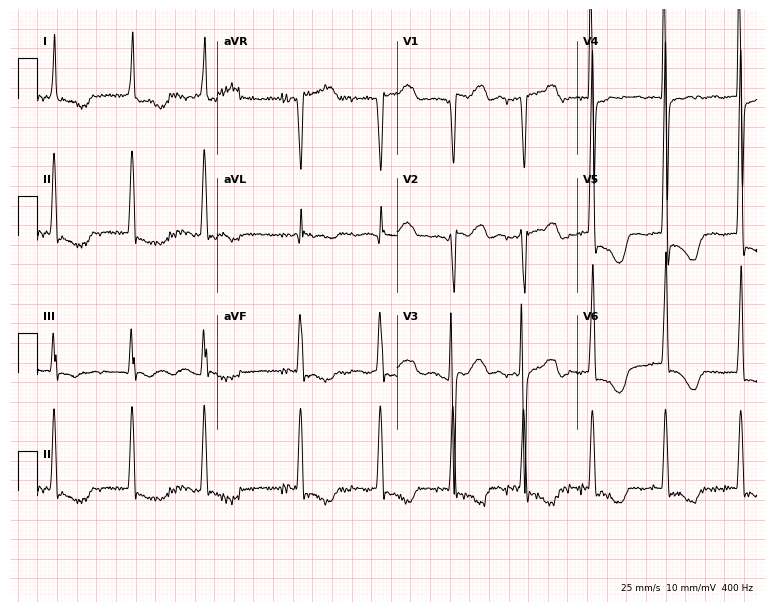
12-lead ECG from a 65-year-old female patient. Findings include atrial fibrillation (AF).